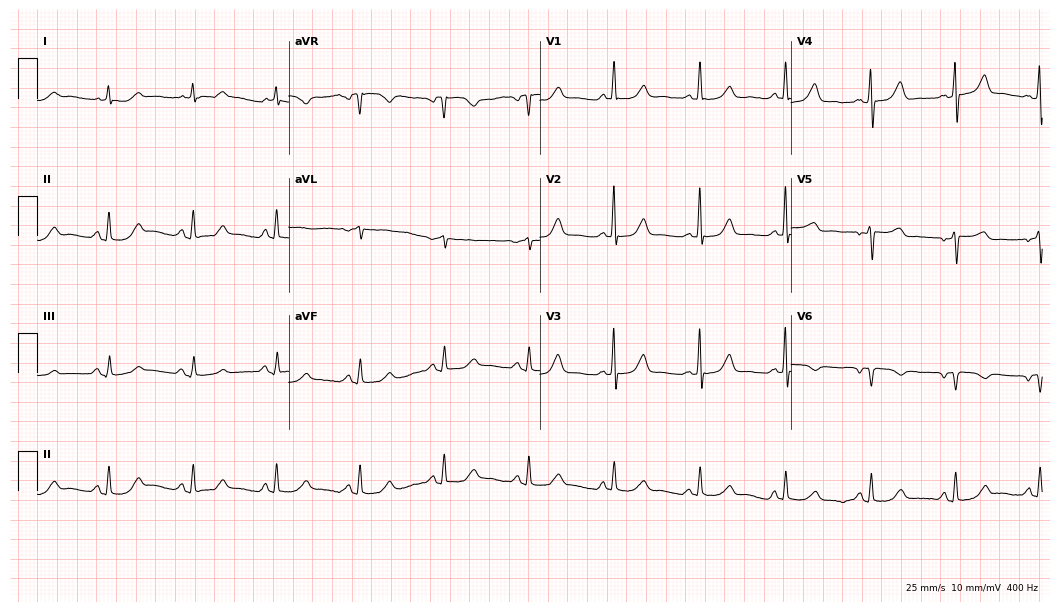
Standard 12-lead ECG recorded from a 79-year-old female. None of these six findings is recorded: first-degree AV block, right bundle branch block, left bundle branch block, sinus bradycardia, atrial fibrillation, sinus tachycardia. Findings outside these six are not listed.